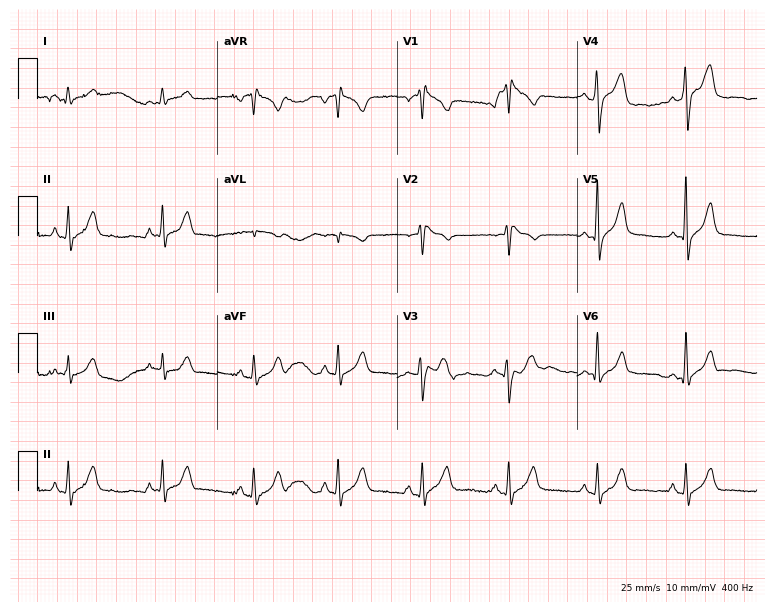
ECG (7.3-second recording at 400 Hz) — a male patient, 36 years old. Screened for six findings — first-degree AV block, right bundle branch block, left bundle branch block, sinus bradycardia, atrial fibrillation, sinus tachycardia — none is recorded. Only these six findings were labelled.